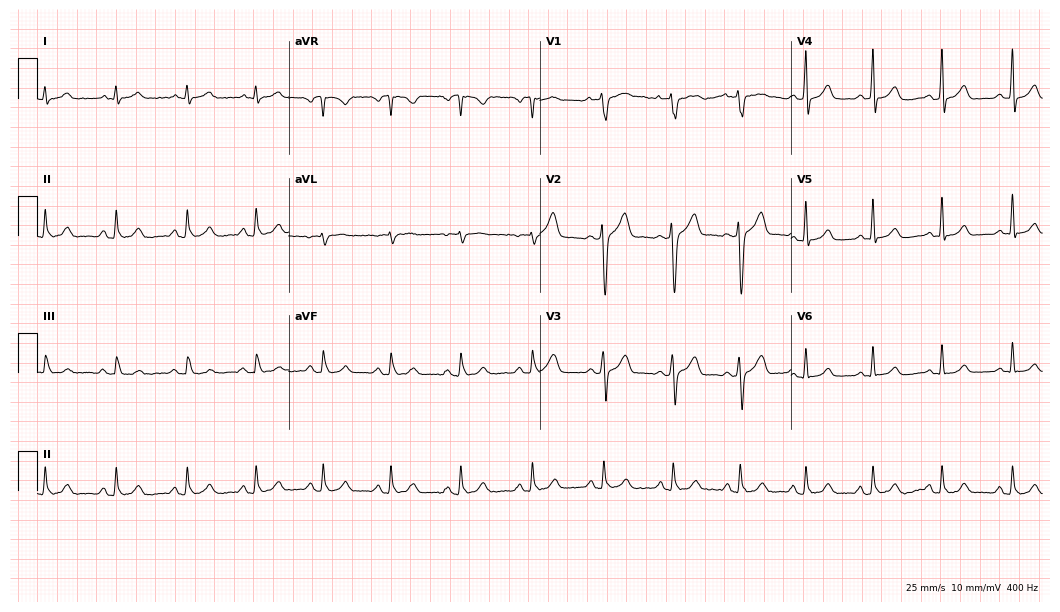
12-lead ECG from a male patient, 35 years old (10.2-second recording at 400 Hz). Recorded interpretation: within normal limits.